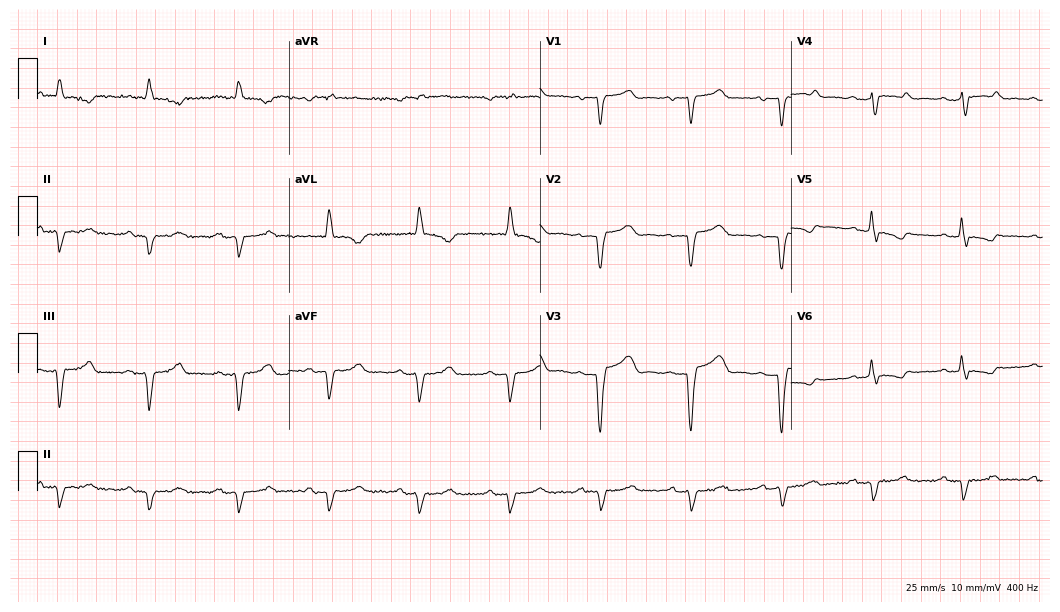
ECG — a male, 74 years old. Screened for six findings — first-degree AV block, right bundle branch block, left bundle branch block, sinus bradycardia, atrial fibrillation, sinus tachycardia — none is recorded. Findings outside these six are not listed.